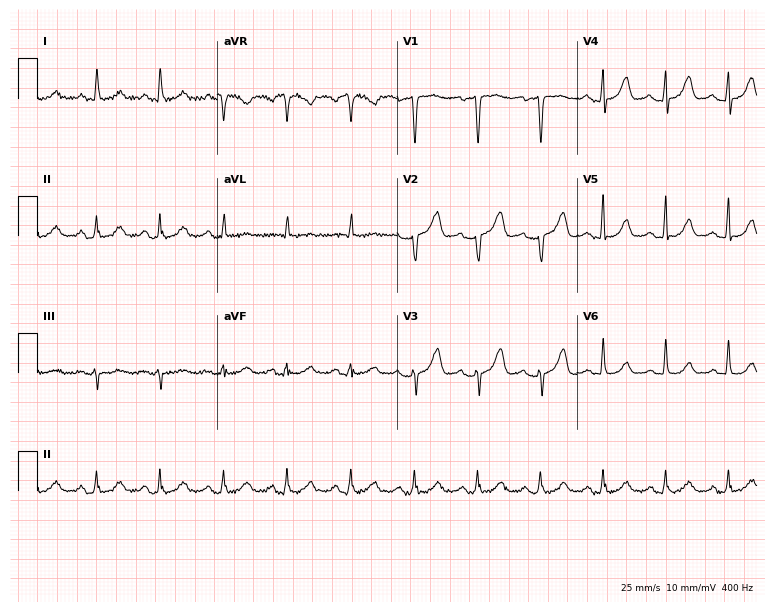
ECG — a 76-year-old female patient. Labelled as a normal ECG.